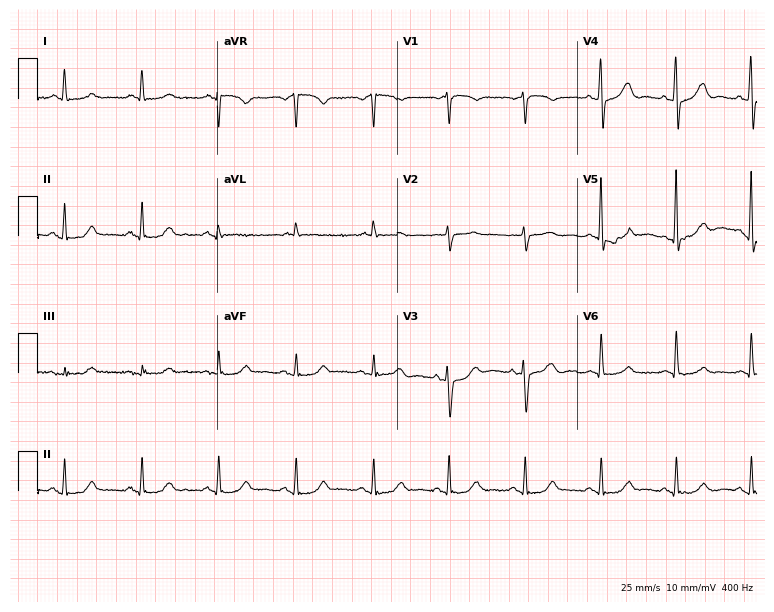
12-lead ECG (7.3-second recording at 400 Hz) from a 65-year-old female patient. Labelled as a normal ECG.